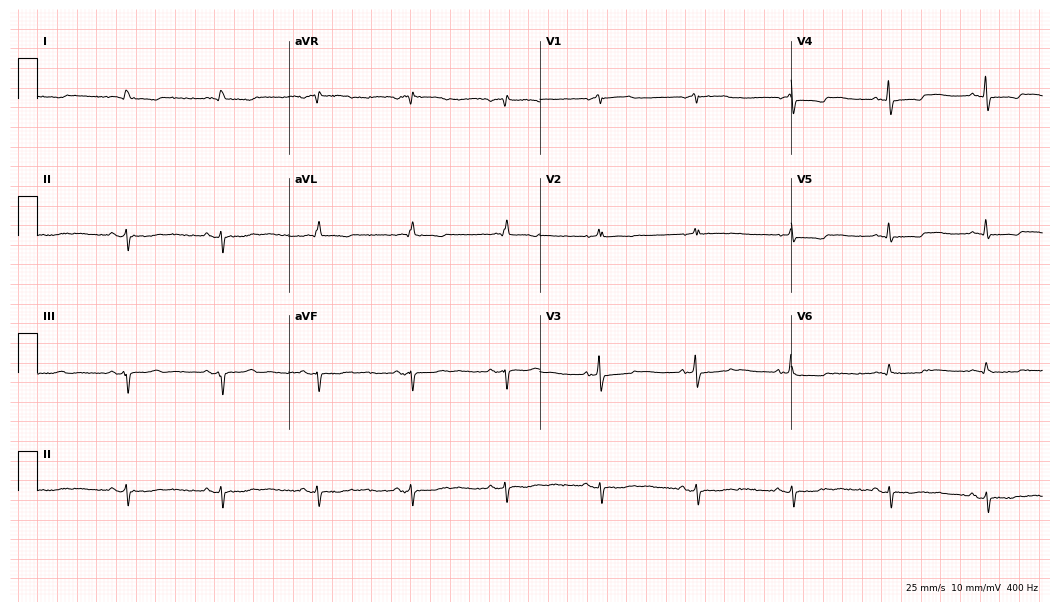
Standard 12-lead ECG recorded from a 65-year-old female (10.2-second recording at 400 Hz). None of these six findings is recorded: first-degree AV block, right bundle branch block, left bundle branch block, sinus bradycardia, atrial fibrillation, sinus tachycardia.